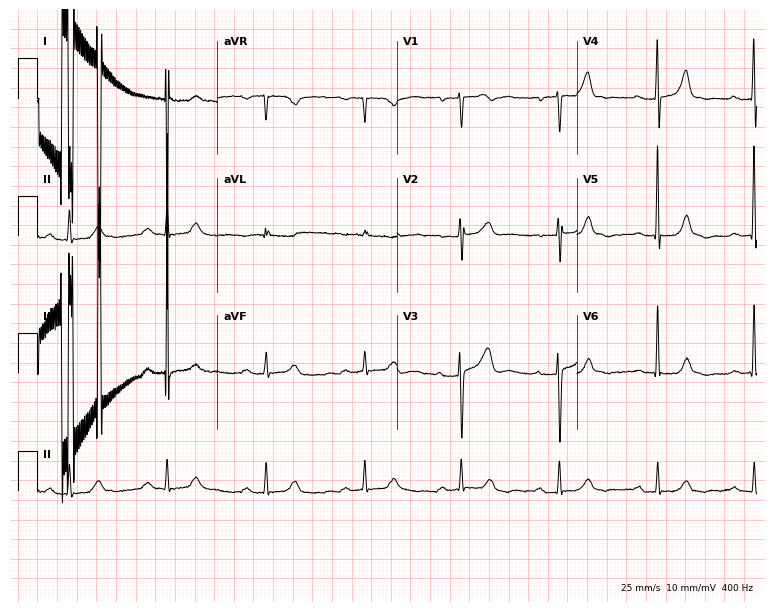
Standard 12-lead ECG recorded from a woman, 85 years old. The tracing shows first-degree AV block.